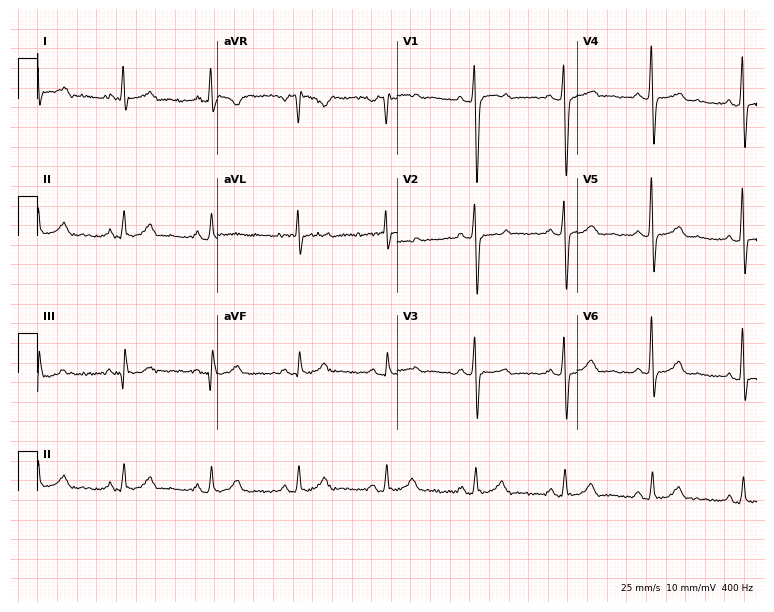
Resting 12-lead electrocardiogram (7.3-second recording at 400 Hz). Patient: a 46-year-old male. None of these six findings is recorded: first-degree AV block, right bundle branch block, left bundle branch block, sinus bradycardia, atrial fibrillation, sinus tachycardia.